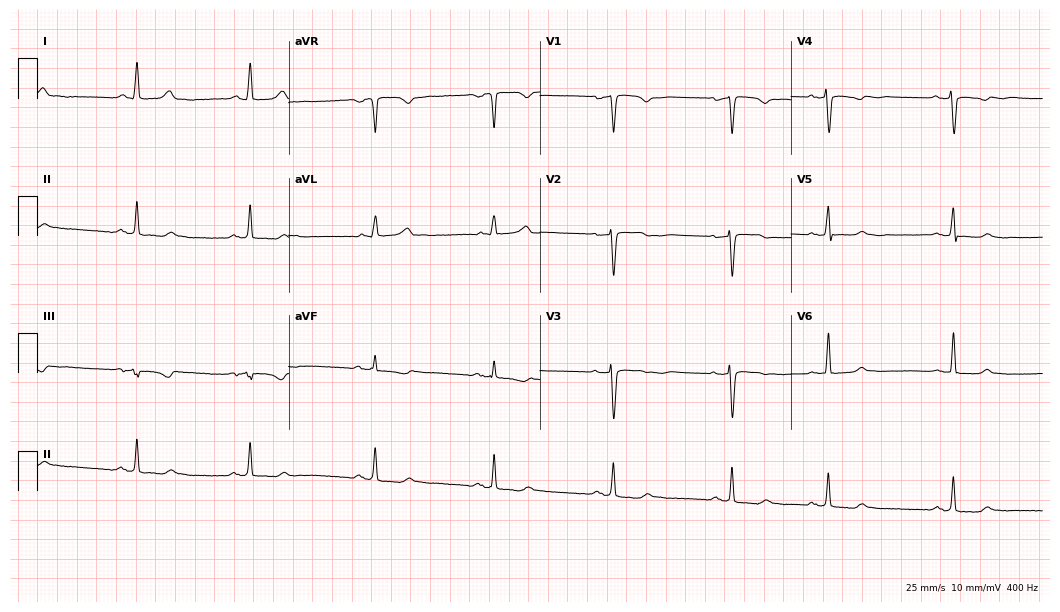
ECG — a woman, 56 years old. Screened for six findings — first-degree AV block, right bundle branch block, left bundle branch block, sinus bradycardia, atrial fibrillation, sinus tachycardia — none is recorded.